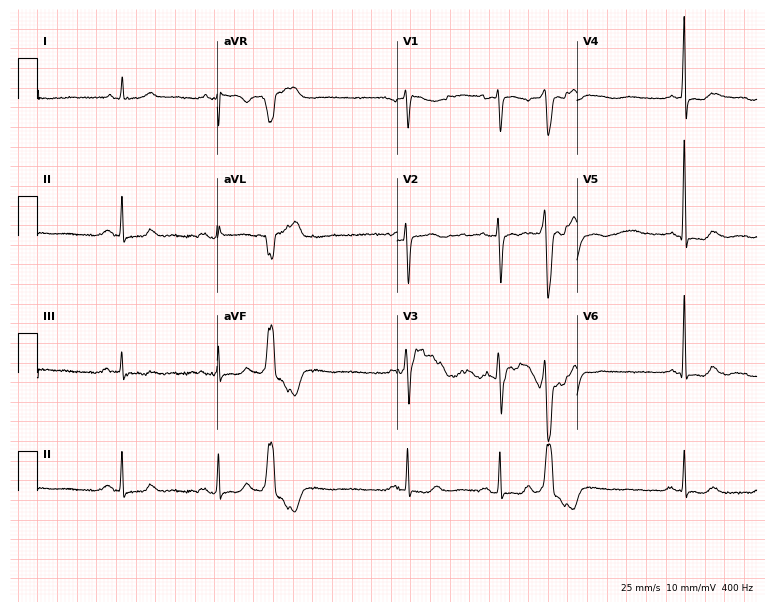
Standard 12-lead ECG recorded from a 77-year-old female (7.3-second recording at 400 Hz). None of these six findings is recorded: first-degree AV block, right bundle branch block, left bundle branch block, sinus bradycardia, atrial fibrillation, sinus tachycardia. Findings outside these six are not listed.